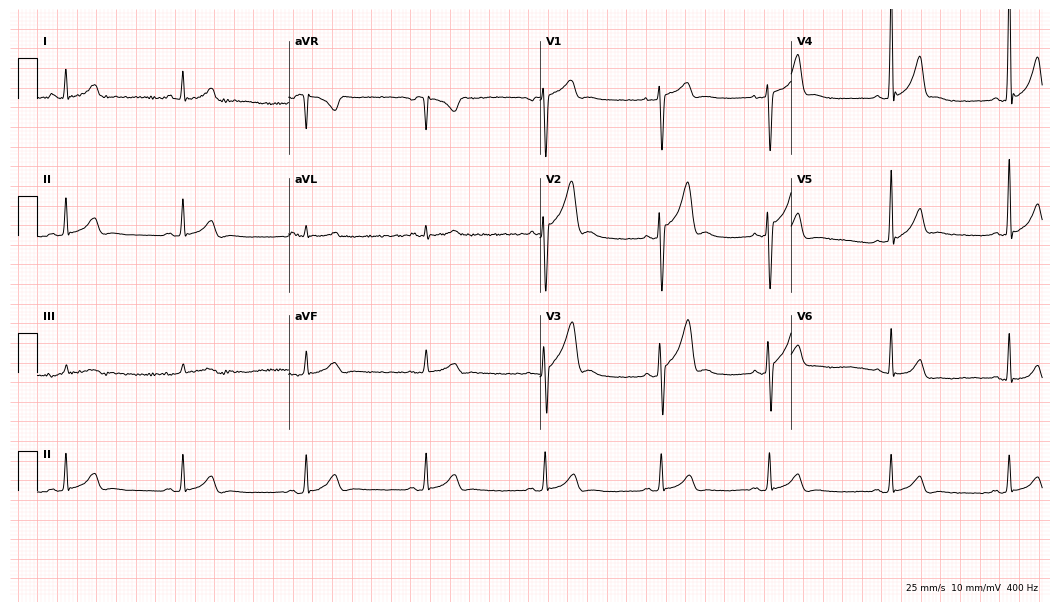
ECG (10.2-second recording at 400 Hz) — a 31-year-old man. Screened for six findings — first-degree AV block, right bundle branch block, left bundle branch block, sinus bradycardia, atrial fibrillation, sinus tachycardia — none is recorded. Only these six findings were labelled.